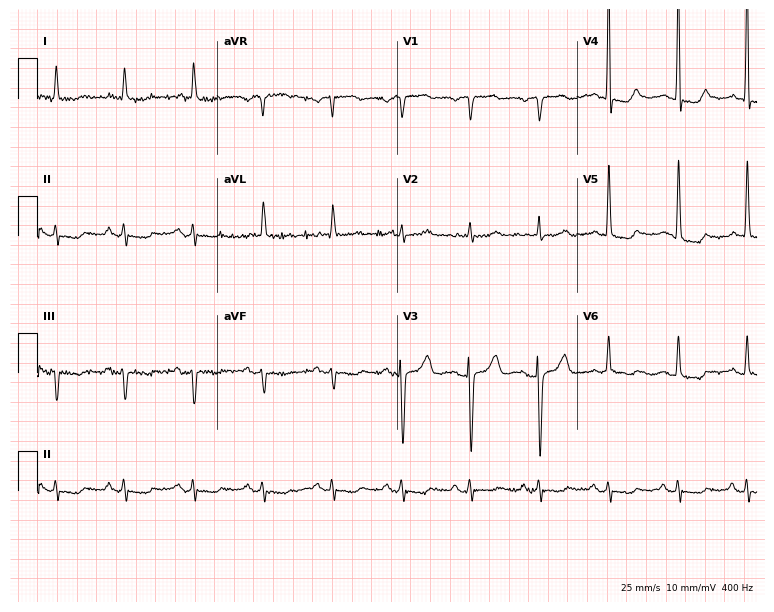
ECG — a 73-year-old man. Screened for six findings — first-degree AV block, right bundle branch block, left bundle branch block, sinus bradycardia, atrial fibrillation, sinus tachycardia — none is recorded. Other findings, if any, are not listed.